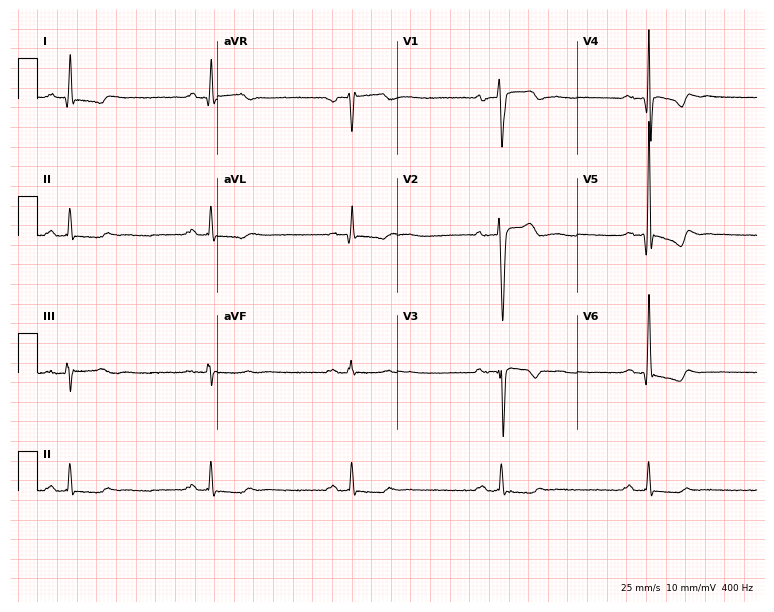
Electrocardiogram (7.3-second recording at 400 Hz), a male patient, 61 years old. Interpretation includes first-degree AV block, sinus bradycardia (a sinus rate of 50 beats per minute or less).